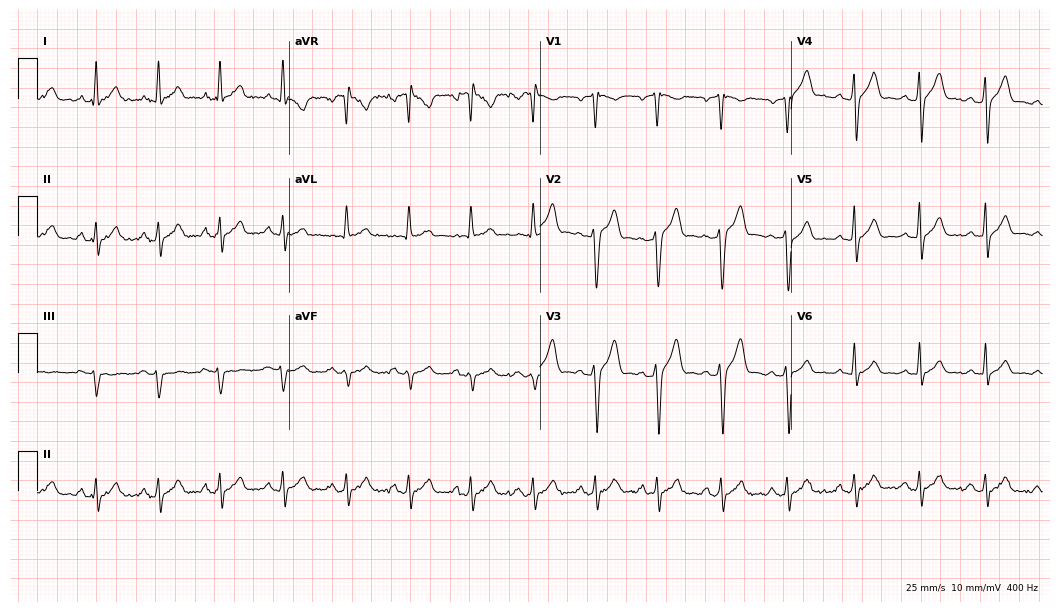
Standard 12-lead ECG recorded from a 30-year-old male patient (10.2-second recording at 400 Hz). None of these six findings is recorded: first-degree AV block, right bundle branch block, left bundle branch block, sinus bradycardia, atrial fibrillation, sinus tachycardia.